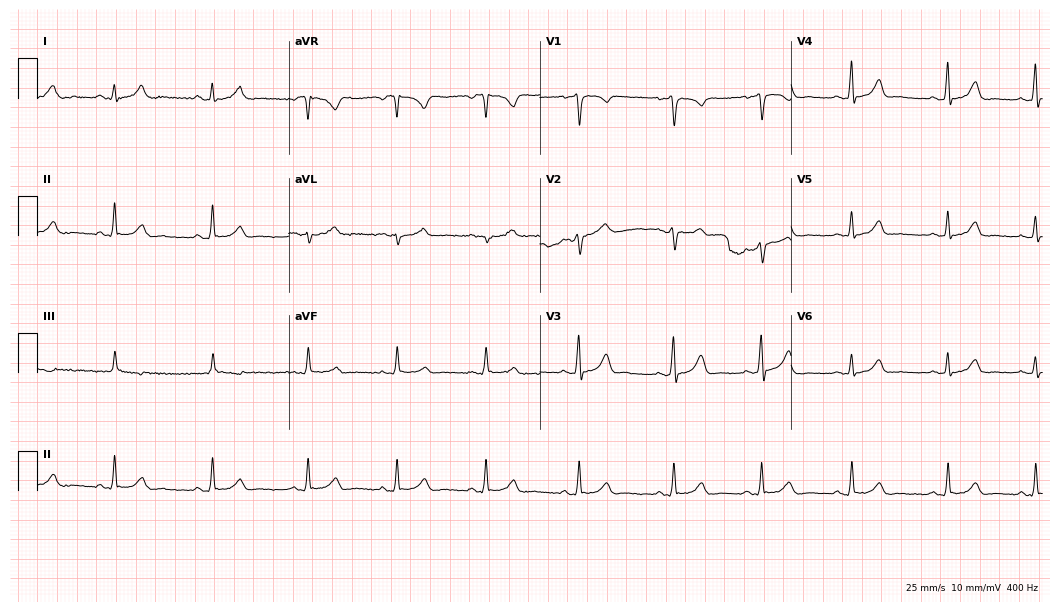
Resting 12-lead electrocardiogram. Patient: a female, 33 years old. Read as a normal ECG.